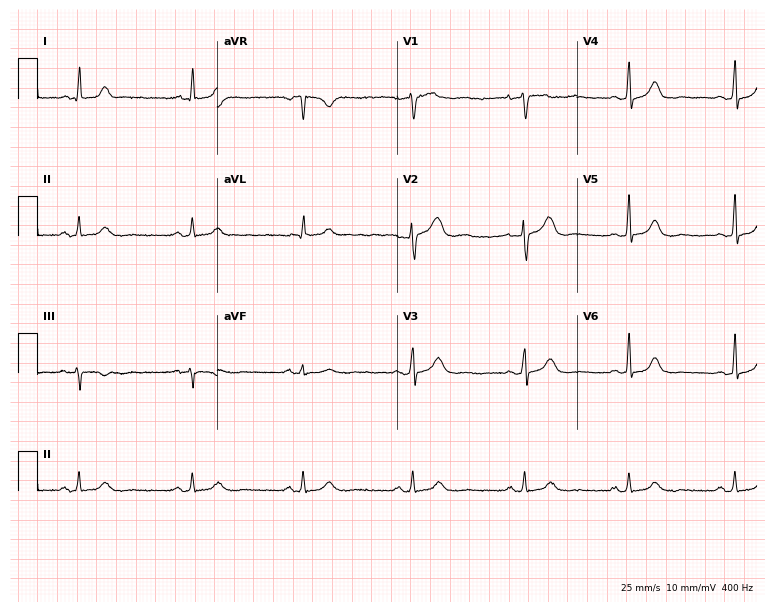
12-lead ECG from a woman, 42 years old (7.3-second recording at 400 Hz). Recorded interpretation: within normal limits.